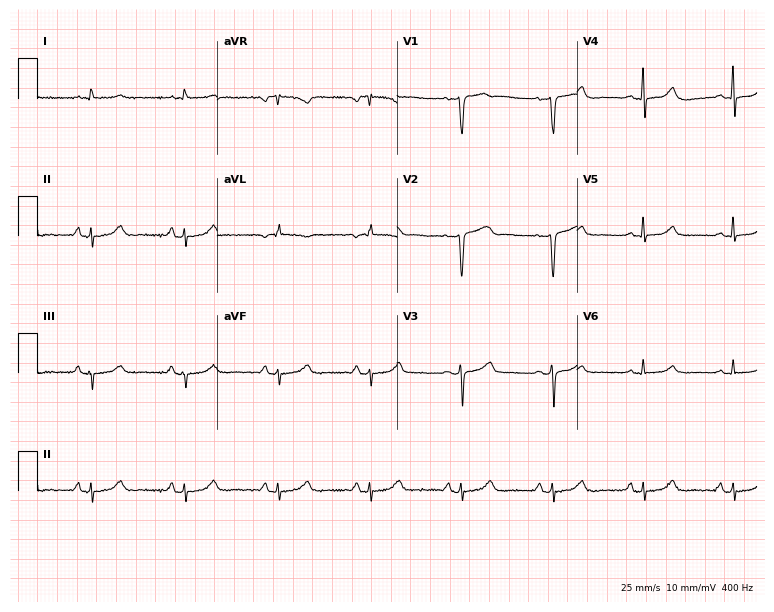
Electrocardiogram (7.3-second recording at 400 Hz), a 64-year-old woman. Of the six screened findings (first-degree AV block, right bundle branch block, left bundle branch block, sinus bradycardia, atrial fibrillation, sinus tachycardia), none is recorded. Findings outside these six are not listed.